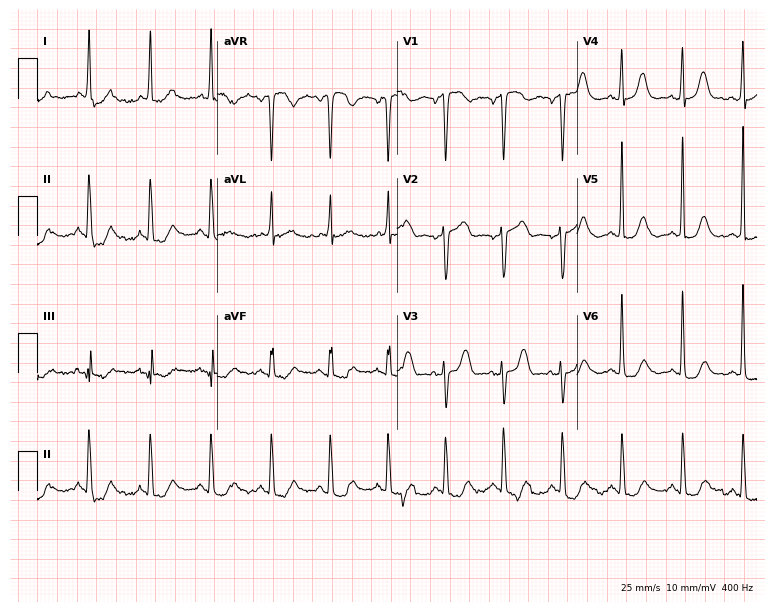
Electrocardiogram, a female patient, 78 years old. Of the six screened findings (first-degree AV block, right bundle branch block (RBBB), left bundle branch block (LBBB), sinus bradycardia, atrial fibrillation (AF), sinus tachycardia), none is recorded. Only these six findings were labelled.